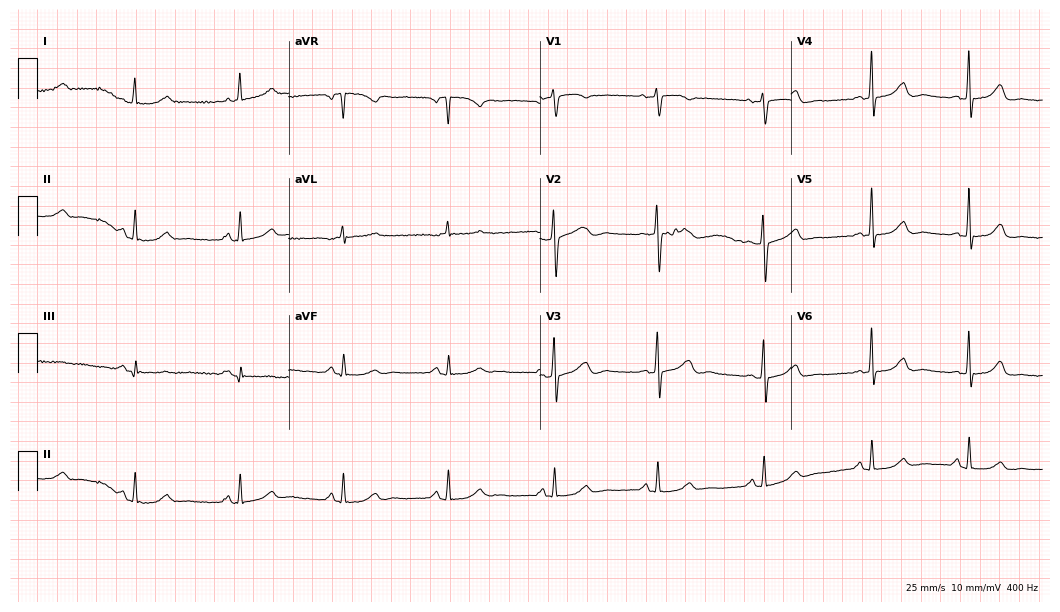
12-lead ECG from a 58-year-old female patient. No first-degree AV block, right bundle branch block (RBBB), left bundle branch block (LBBB), sinus bradycardia, atrial fibrillation (AF) or sinus tachycardia recorded for this tracing. Only these six findings were labelled.